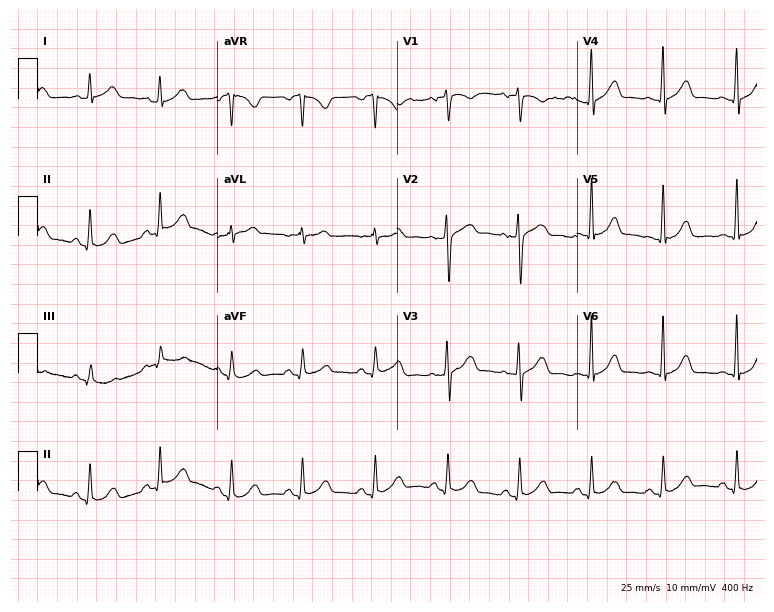
12-lead ECG (7.3-second recording at 400 Hz) from a male patient, 29 years old. Labelled as a normal ECG.